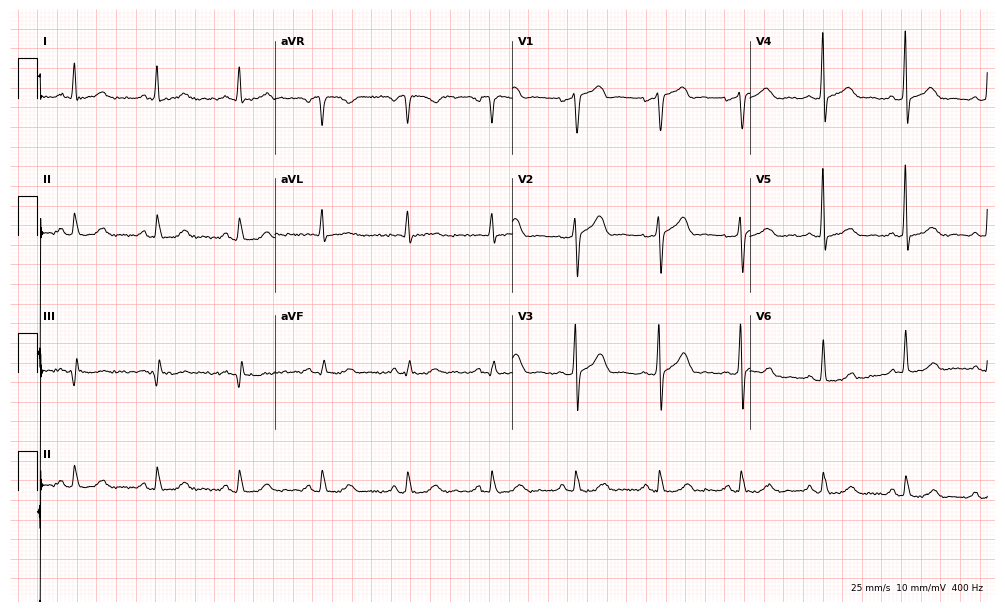
12-lead ECG from a male patient, 56 years old. No first-degree AV block, right bundle branch block (RBBB), left bundle branch block (LBBB), sinus bradycardia, atrial fibrillation (AF) or sinus tachycardia recorded for this tracing. Only these six findings were labelled.